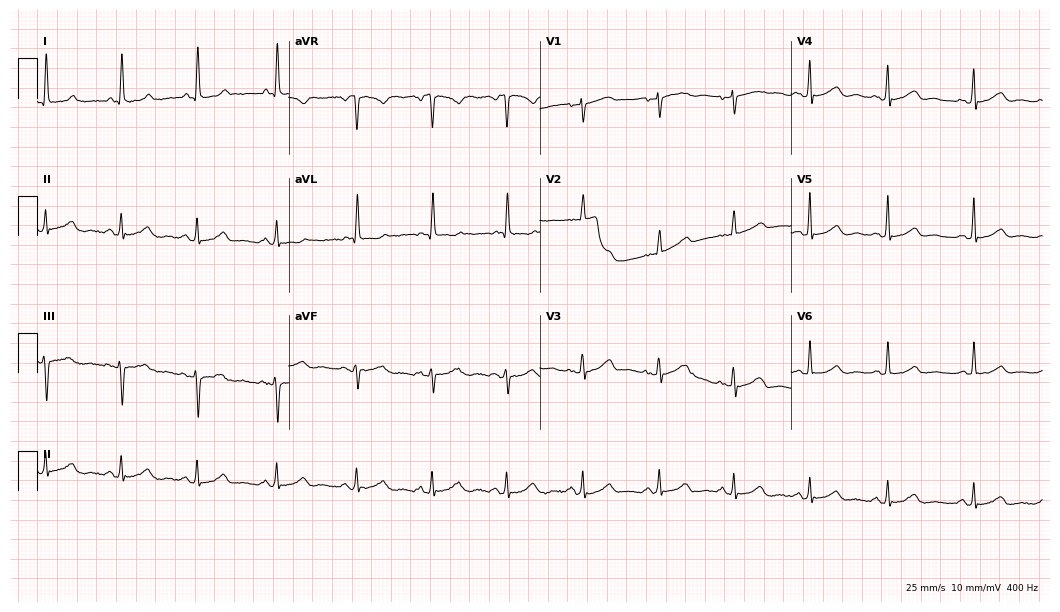
12-lead ECG from a woman, 59 years old. Labelled as a normal ECG.